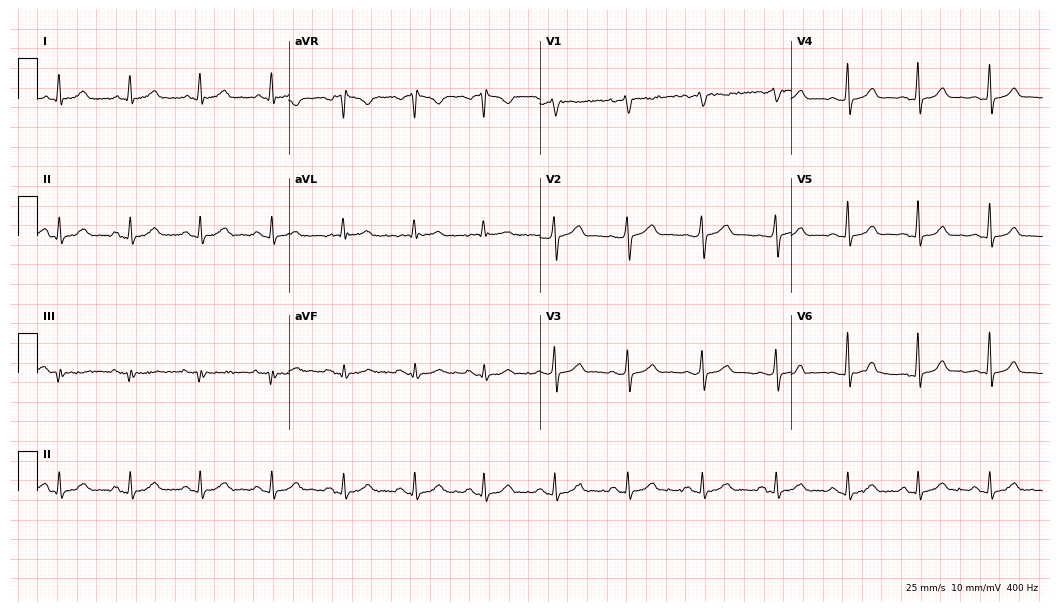
Electrocardiogram (10.2-second recording at 400 Hz), a female, 43 years old. Of the six screened findings (first-degree AV block, right bundle branch block, left bundle branch block, sinus bradycardia, atrial fibrillation, sinus tachycardia), none is recorded. Only these six findings were labelled.